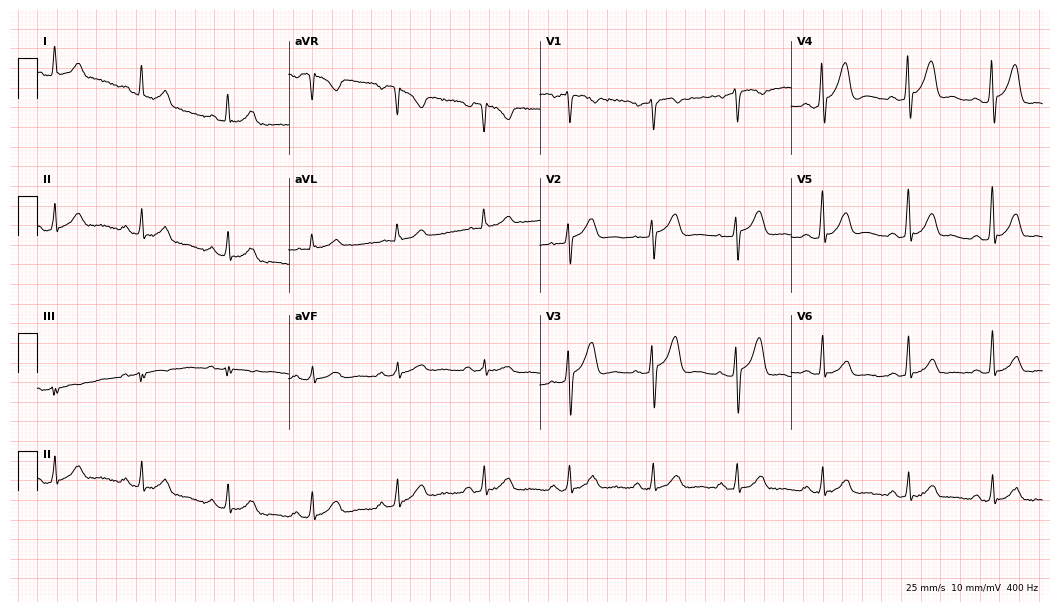
Standard 12-lead ECG recorded from a 36-year-old male patient (10.2-second recording at 400 Hz). Read as a normal ECG.